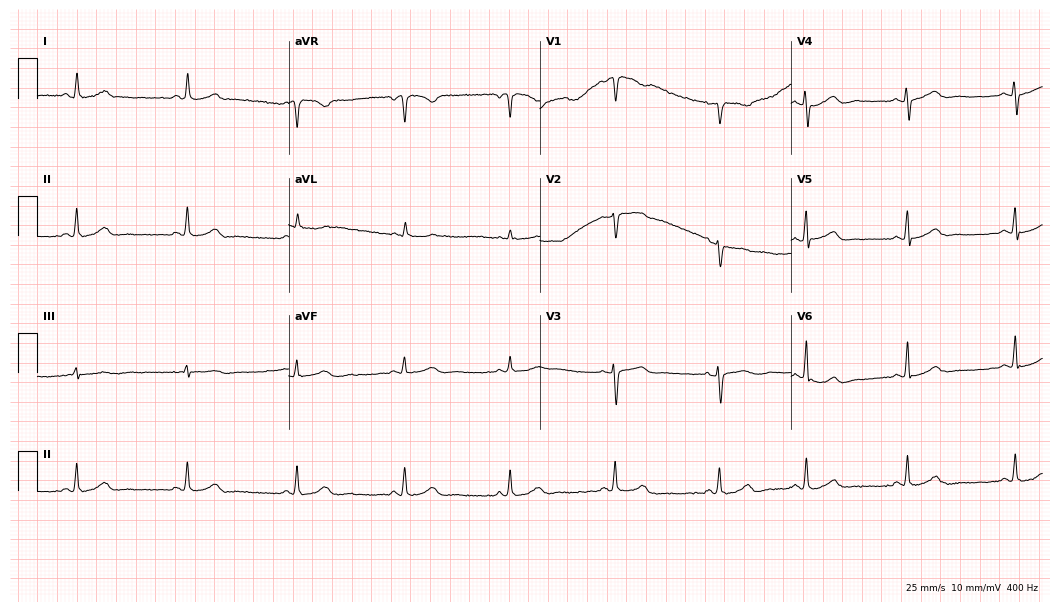
Standard 12-lead ECG recorded from a 49-year-old woman. Read as a normal ECG.